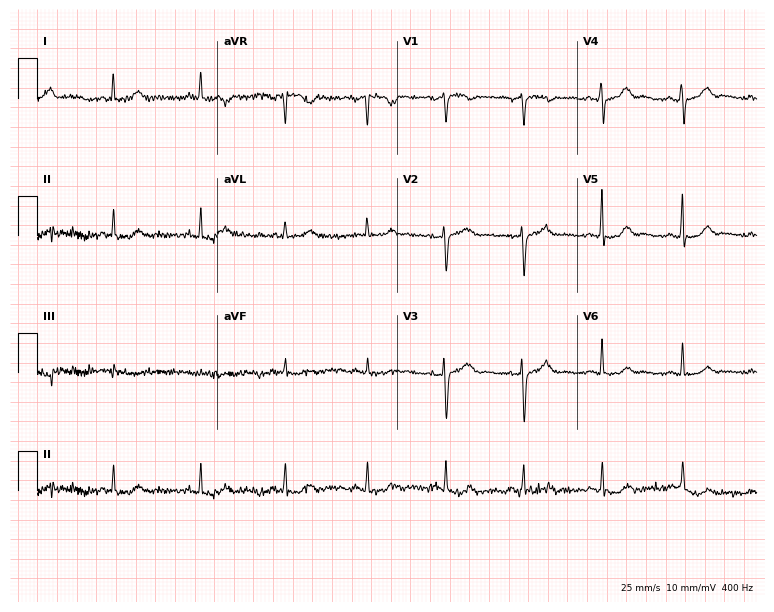
Electrocardiogram (7.3-second recording at 400 Hz), a female patient, 56 years old. Of the six screened findings (first-degree AV block, right bundle branch block, left bundle branch block, sinus bradycardia, atrial fibrillation, sinus tachycardia), none is recorded.